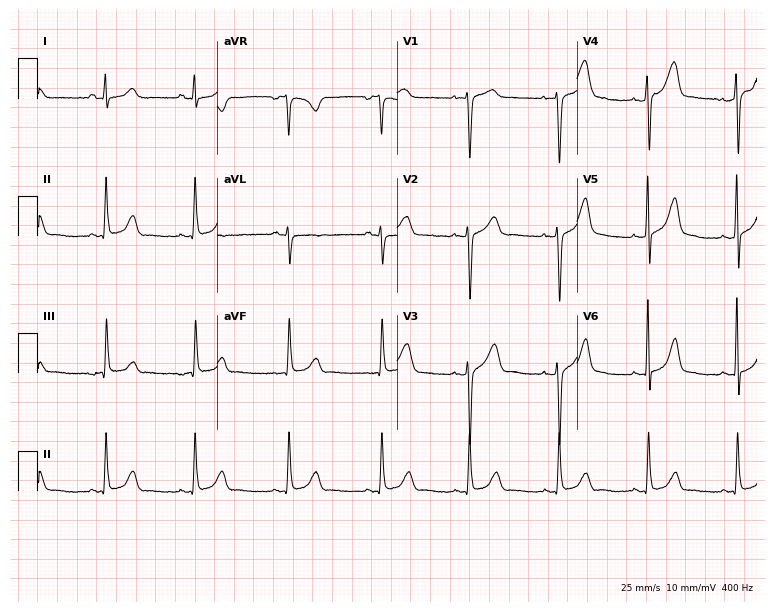
Standard 12-lead ECG recorded from a 21-year-old female (7.3-second recording at 400 Hz). None of these six findings is recorded: first-degree AV block, right bundle branch block (RBBB), left bundle branch block (LBBB), sinus bradycardia, atrial fibrillation (AF), sinus tachycardia. Findings outside these six are not listed.